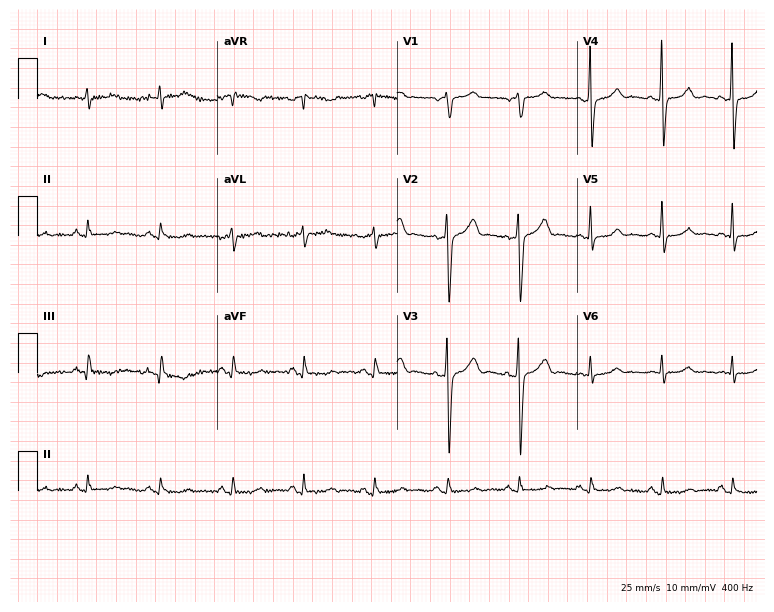
Electrocardiogram, a 72-year-old male patient. Of the six screened findings (first-degree AV block, right bundle branch block, left bundle branch block, sinus bradycardia, atrial fibrillation, sinus tachycardia), none is recorded.